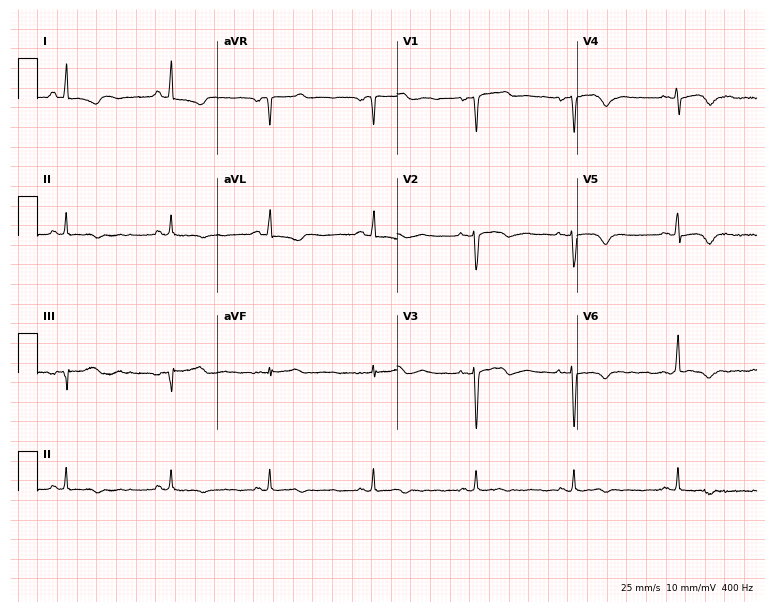
Resting 12-lead electrocardiogram. Patient: a female, 69 years old. None of these six findings is recorded: first-degree AV block, right bundle branch block, left bundle branch block, sinus bradycardia, atrial fibrillation, sinus tachycardia. Other findings, if any, are not listed.